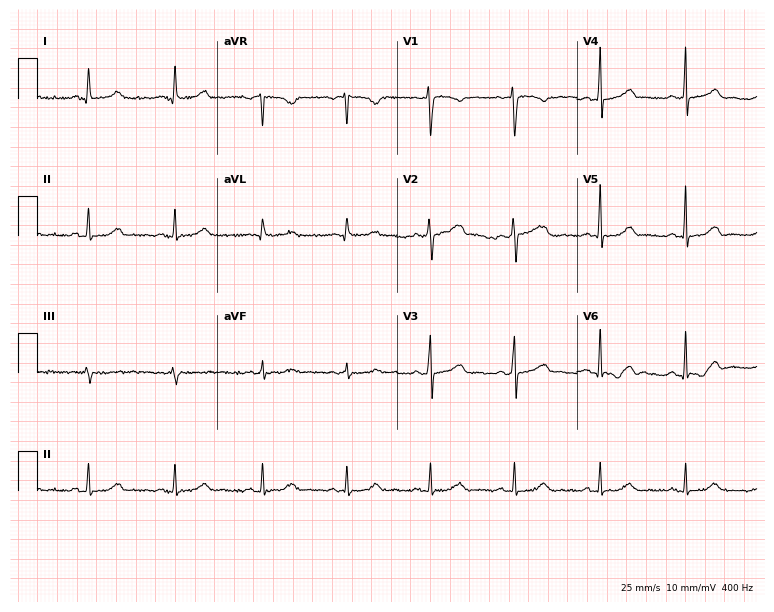
Resting 12-lead electrocardiogram (7.3-second recording at 400 Hz). Patient: a woman, 39 years old. None of these six findings is recorded: first-degree AV block, right bundle branch block, left bundle branch block, sinus bradycardia, atrial fibrillation, sinus tachycardia. Findings outside these six are not listed.